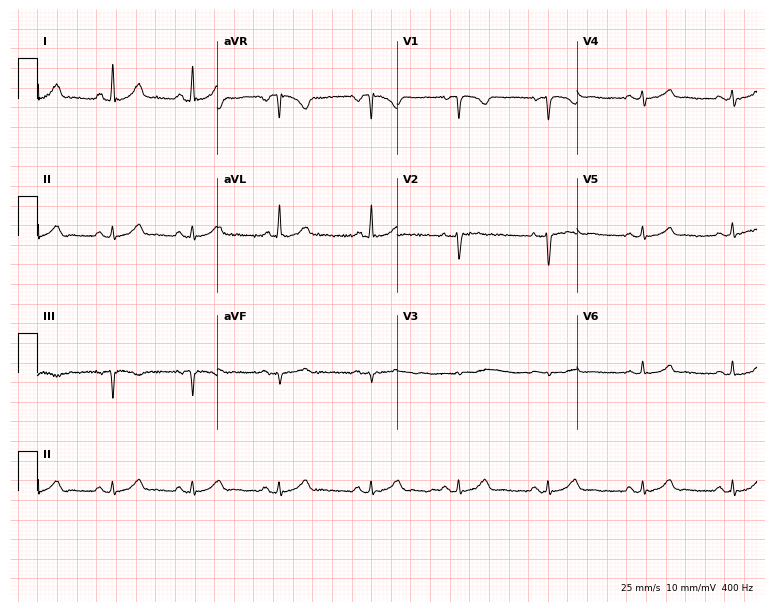
ECG — a woman, 52 years old. Screened for six findings — first-degree AV block, right bundle branch block, left bundle branch block, sinus bradycardia, atrial fibrillation, sinus tachycardia — none is recorded. Only these six findings were labelled.